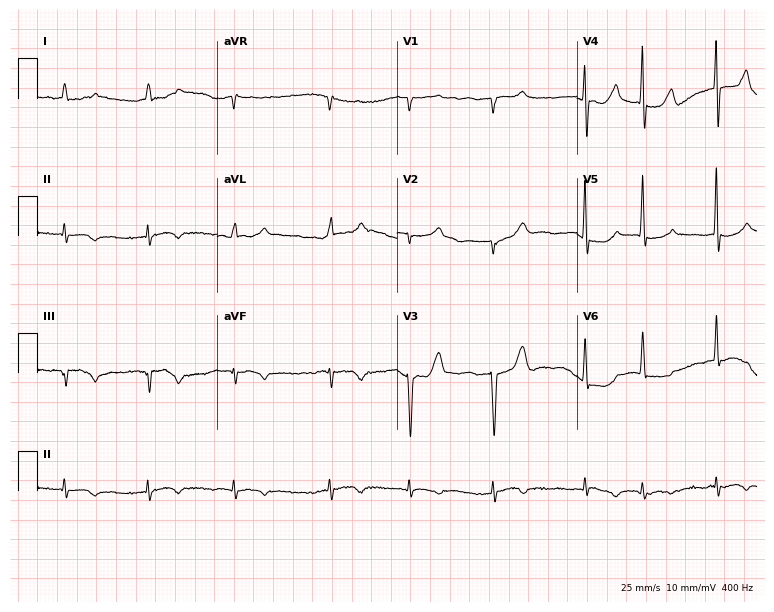
12-lead ECG from a female patient, 72 years old. Screened for six findings — first-degree AV block, right bundle branch block (RBBB), left bundle branch block (LBBB), sinus bradycardia, atrial fibrillation (AF), sinus tachycardia — none is recorded.